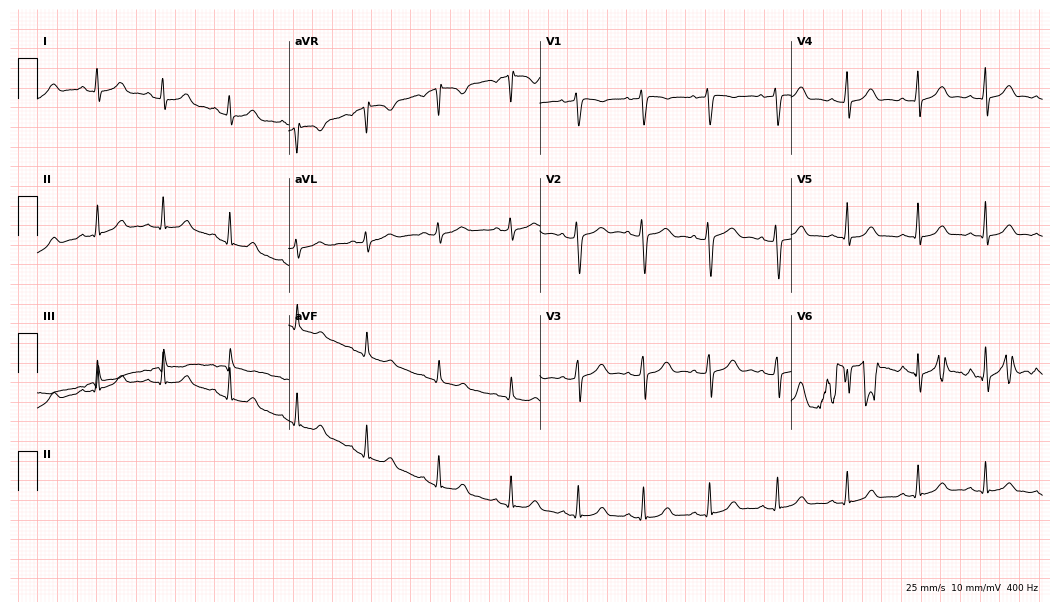
ECG (10.2-second recording at 400 Hz) — a female, 32 years old. Screened for six findings — first-degree AV block, right bundle branch block (RBBB), left bundle branch block (LBBB), sinus bradycardia, atrial fibrillation (AF), sinus tachycardia — none is recorded.